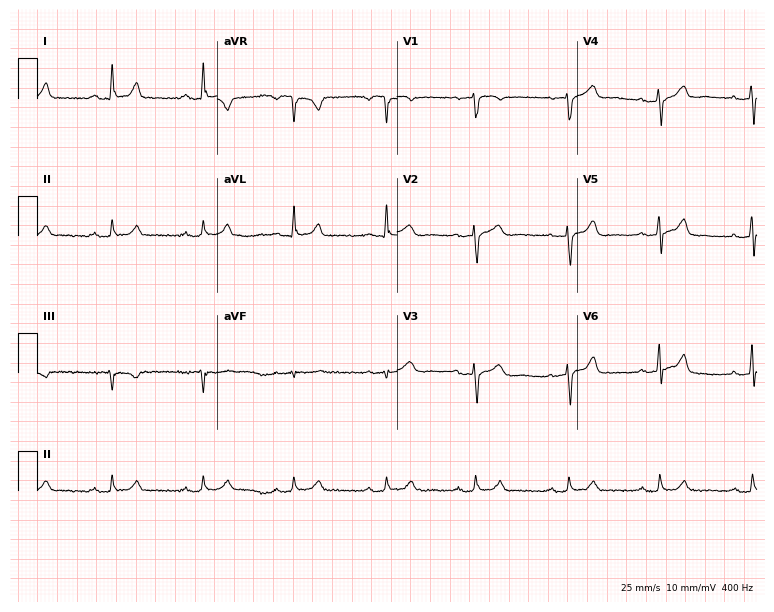
Standard 12-lead ECG recorded from a 58-year-old woman (7.3-second recording at 400 Hz). Read as a normal ECG.